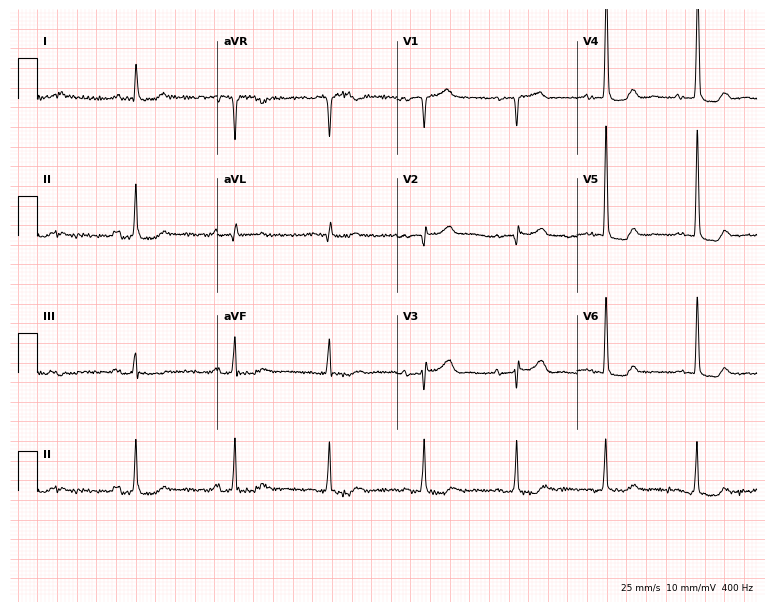
12-lead ECG (7.3-second recording at 400 Hz) from a 73-year-old woman. Screened for six findings — first-degree AV block, right bundle branch block, left bundle branch block, sinus bradycardia, atrial fibrillation, sinus tachycardia — none is recorded.